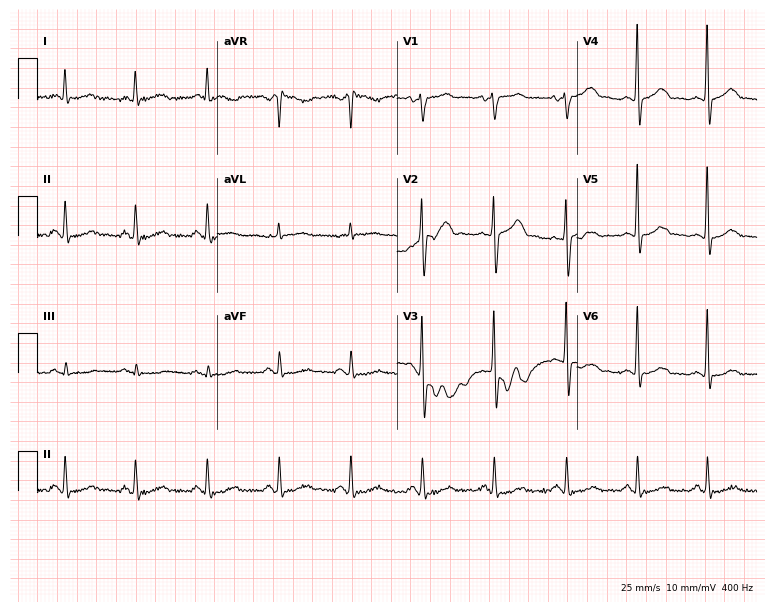
Resting 12-lead electrocardiogram. Patient: a 61-year-old man. Read as a normal ECG.